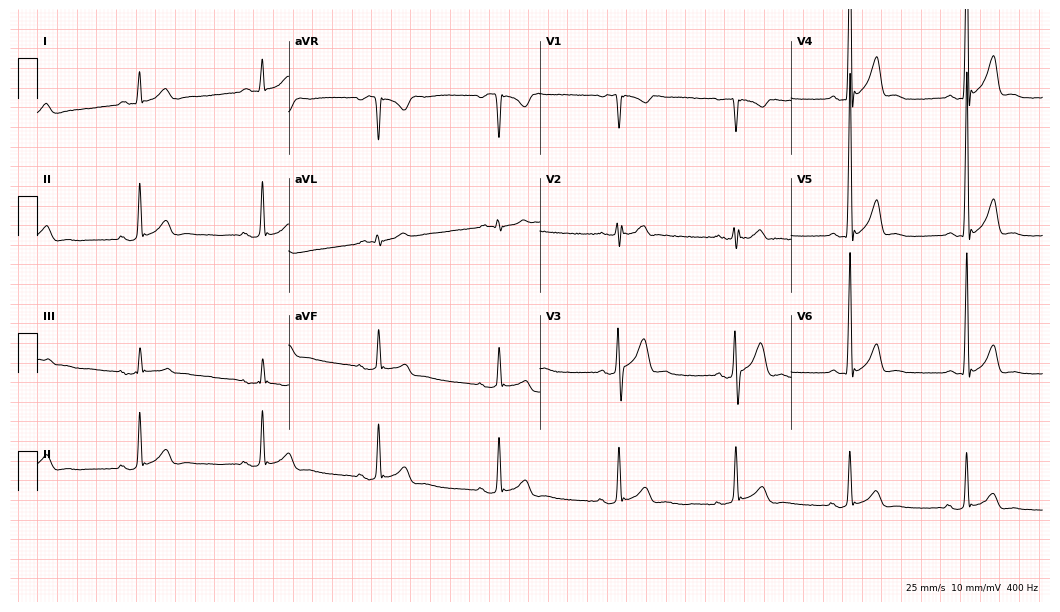
12-lead ECG from a 26-year-old man. No first-degree AV block, right bundle branch block, left bundle branch block, sinus bradycardia, atrial fibrillation or sinus tachycardia recorded for this tracing. Findings outside these six are not listed.